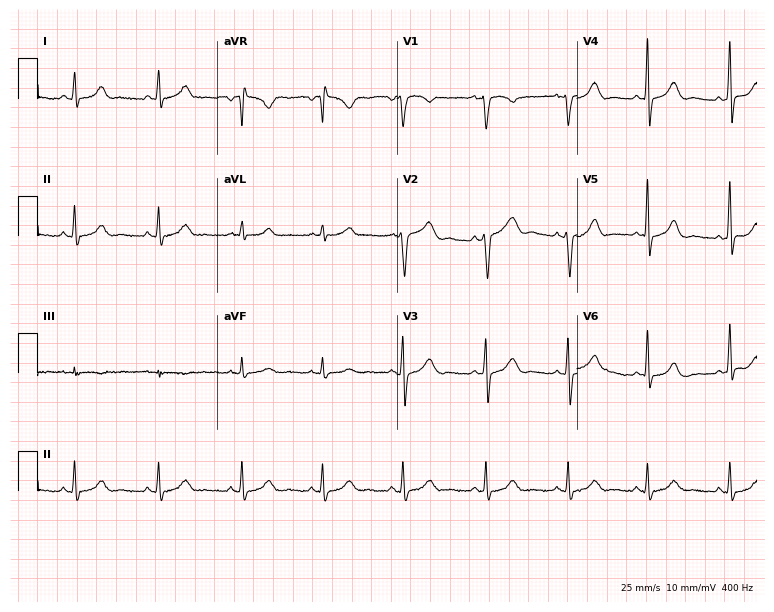
12-lead ECG from a female patient, 37 years old (7.3-second recording at 400 Hz). Recorded interpretation: within normal limits.